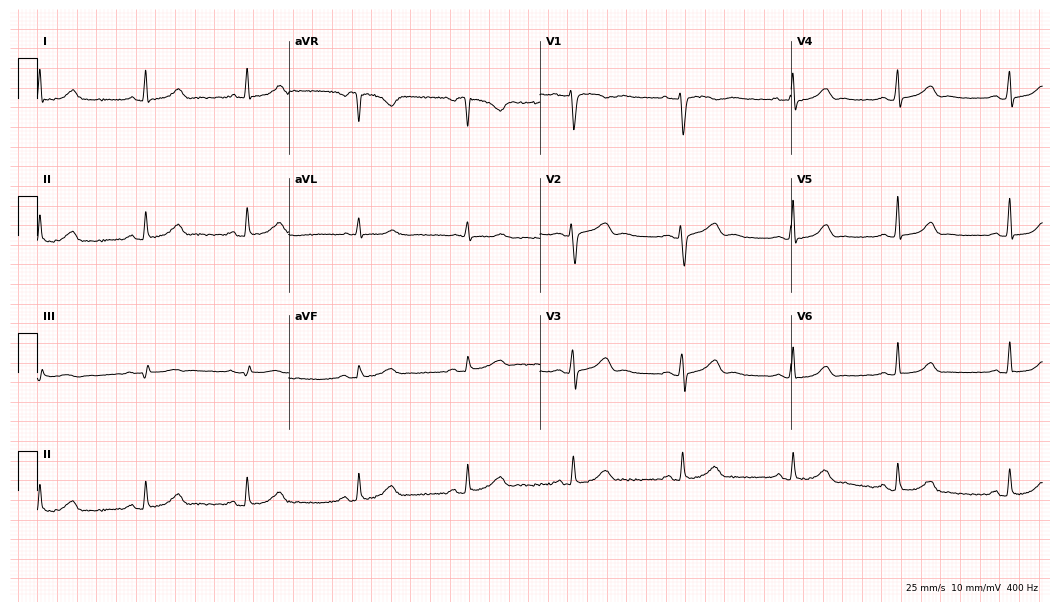
Standard 12-lead ECG recorded from a female, 37 years old (10.2-second recording at 400 Hz). Read as a normal ECG.